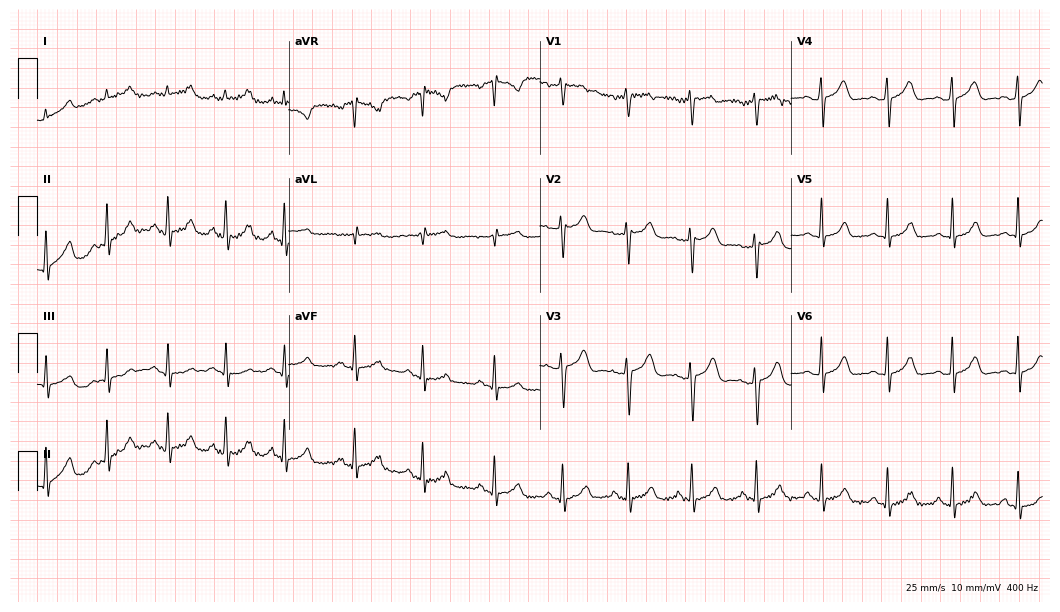
Standard 12-lead ECG recorded from a 36-year-old female patient (10.2-second recording at 400 Hz). Read as a normal ECG.